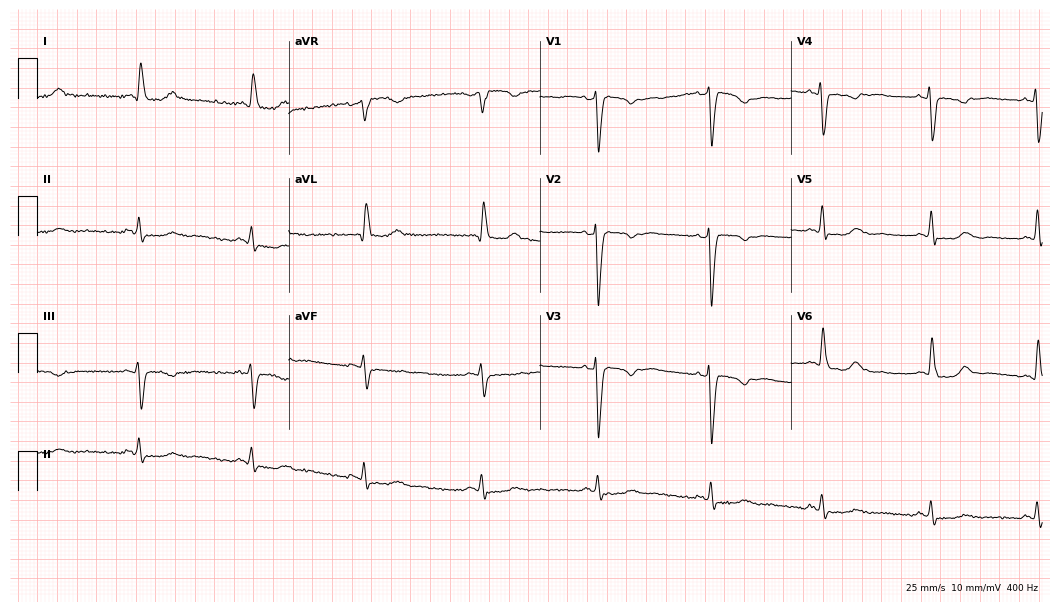
Resting 12-lead electrocardiogram (10.2-second recording at 400 Hz). Patient: a woman, 65 years old. None of these six findings is recorded: first-degree AV block, right bundle branch block, left bundle branch block, sinus bradycardia, atrial fibrillation, sinus tachycardia.